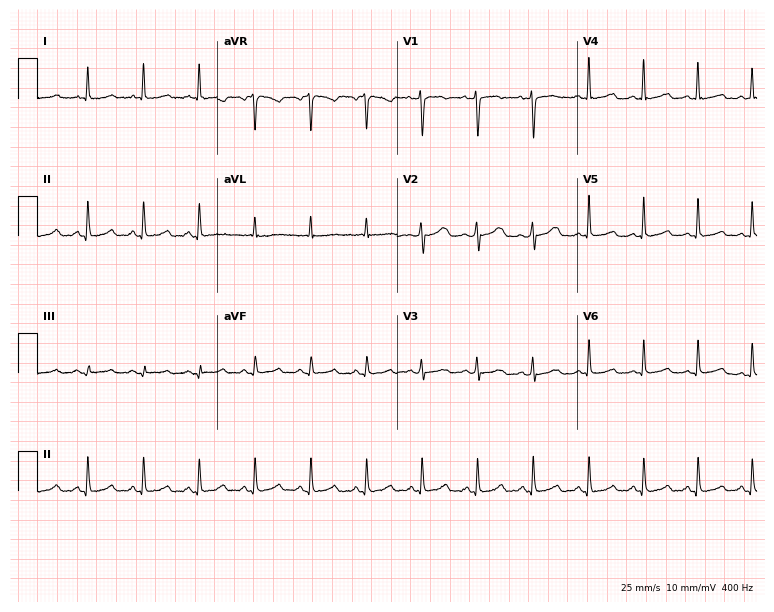
ECG (7.3-second recording at 400 Hz) — a female patient, 41 years old. Screened for six findings — first-degree AV block, right bundle branch block, left bundle branch block, sinus bradycardia, atrial fibrillation, sinus tachycardia — none is recorded. Only these six findings were labelled.